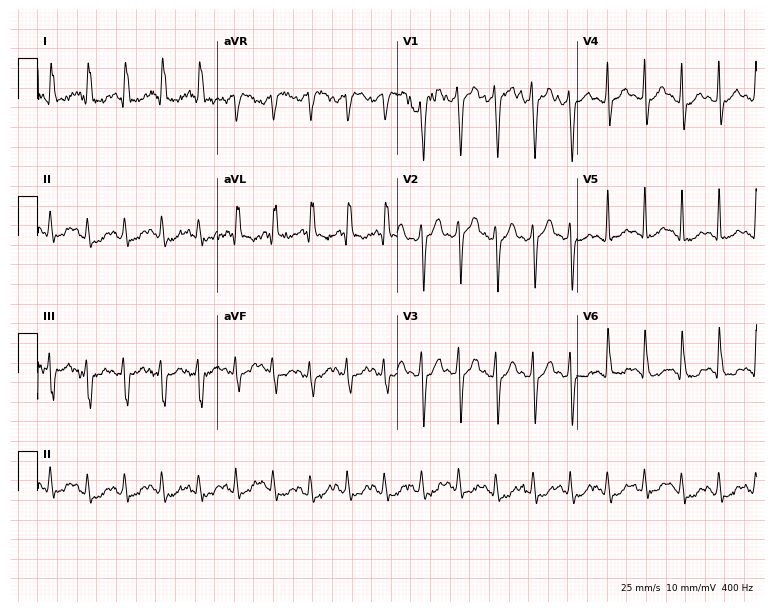
Standard 12-lead ECG recorded from a woman, 64 years old (7.3-second recording at 400 Hz). None of these six findings is recorded: first-degree AV block, right bundle branch block, left bundle branch block, sinus bradycardia, atrial fibrillation, sinus tachycardia.